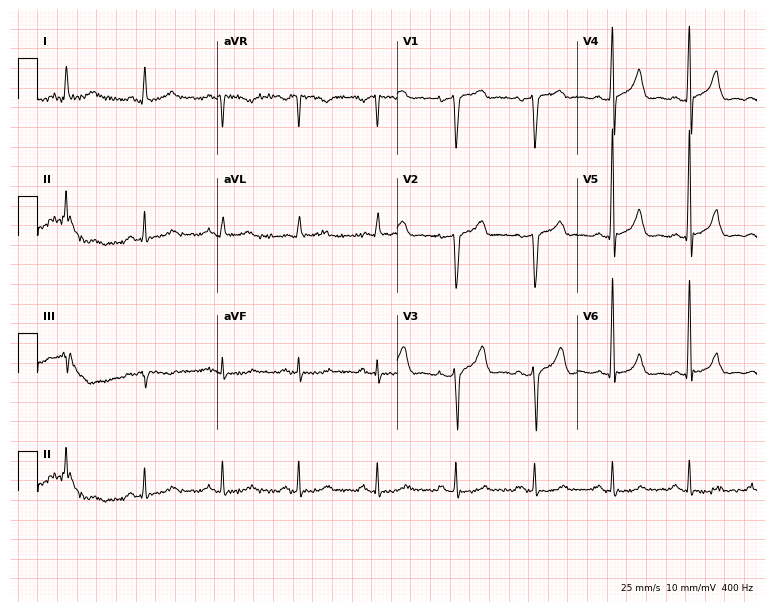
Standard 12-lead ECG recorded from a 63-year-old man. None of these six findings is recorded: first-degree AV block, right bundle branch block, left bundle branch block, sinus bradycardia, atrial fibrillation, sinus tachycardia. Other findings, if any, are not listed.